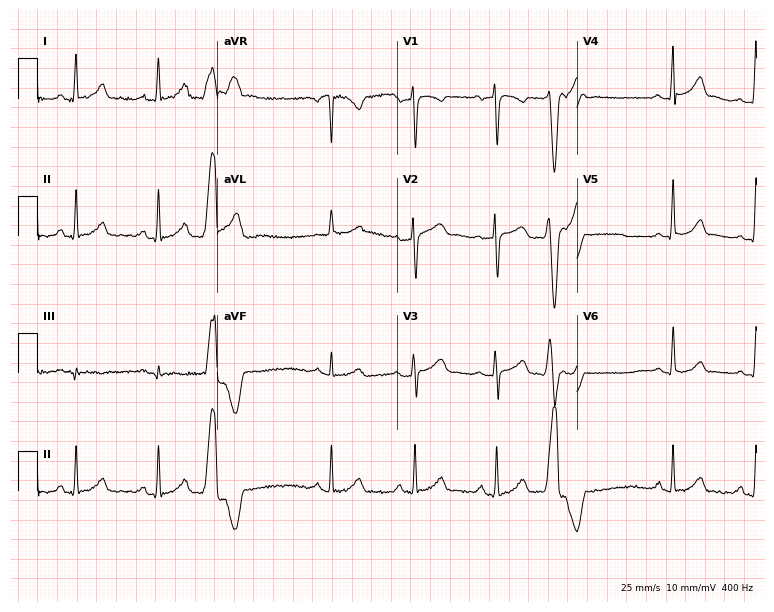
12-lead ECG from a 40-year-old female. No first-degree AV block, right bundle branch block (RBBB), left bundle branch block (LBBB), sinus bradycardia, atrial fibrillation (AF) or sinus tachycardia recorded for this tracing. Findings outside these six are not listed.